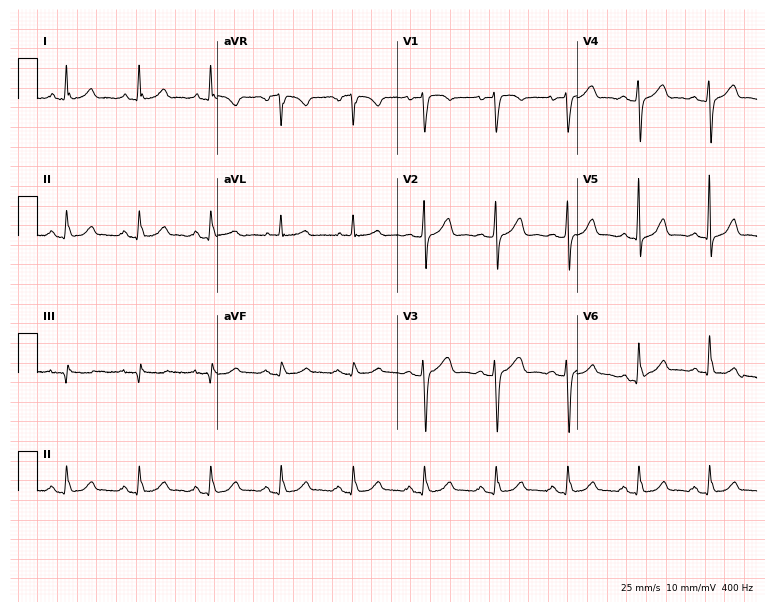
Electrocardiogram (7.3-second recording at 400 Hz), a 54-year-old woman. Overall reading on record: normal ECG.